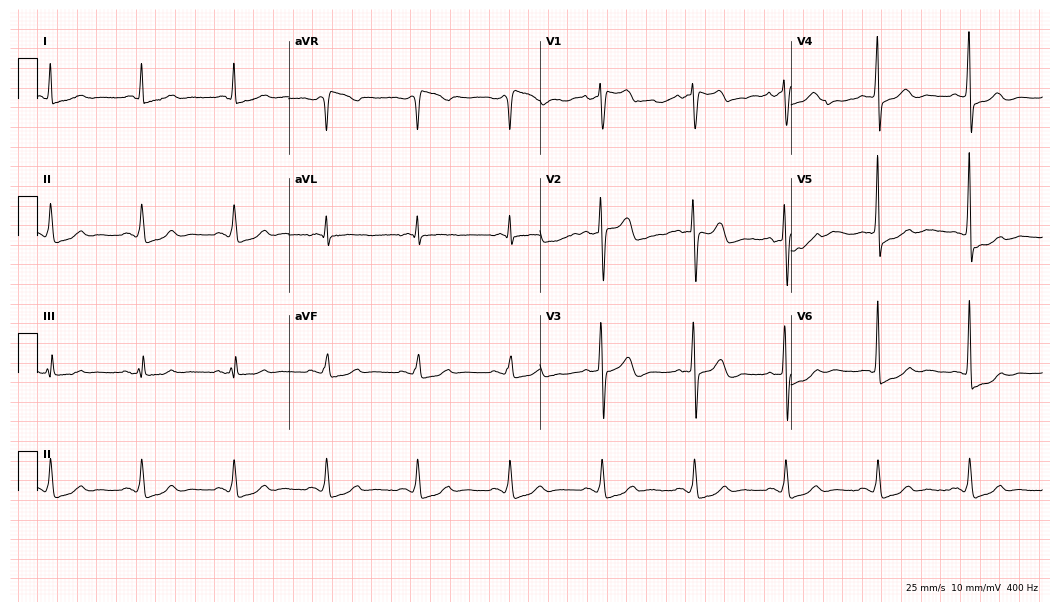
Electrocardiogram (10.2-second recording at 400 Hz), an 83-year-old male patient. Of the six screened findings (first-degree AV block, right bundle branch block (RBBB), left bundle branch block (LBBB), sinus bradycardia, atrial fibrillation (AF), sinus tachycardia), none is recorded.